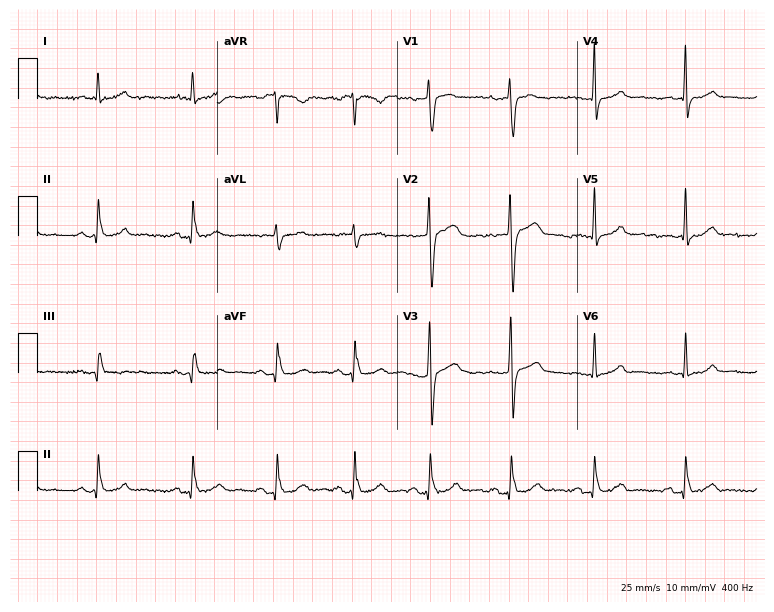
Electrocardiogram (7.3-second recording at 400 Hz), a female, 49 years old. Overall reading on record: normal ECG.